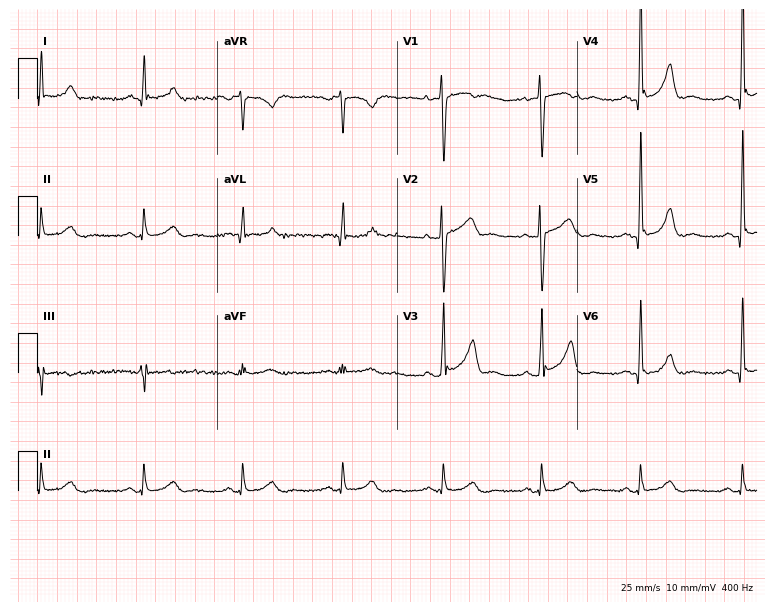
12-lead ECG from a 52-year-old male patient. Recorded interpretation: within normal limits.